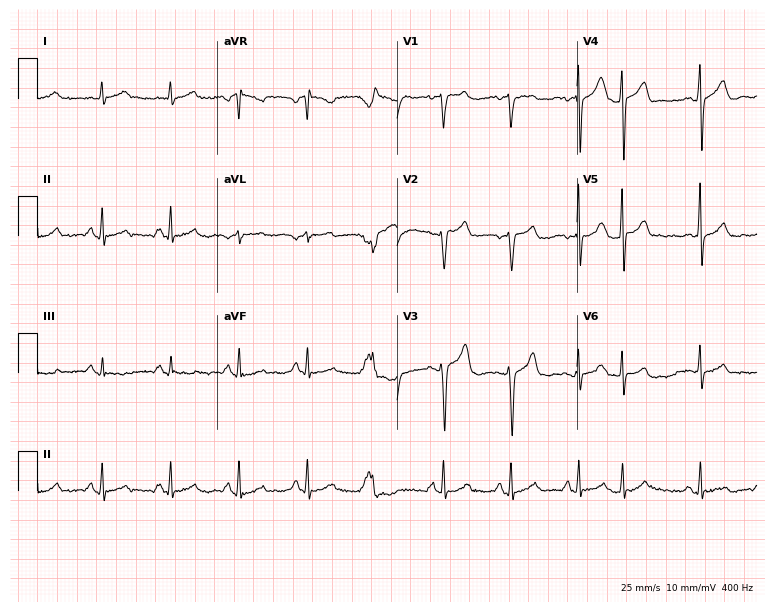
ECG (7.3-second recording at 400 Hz) — a male patient, 72 years old. Labelled as a normal ECG.